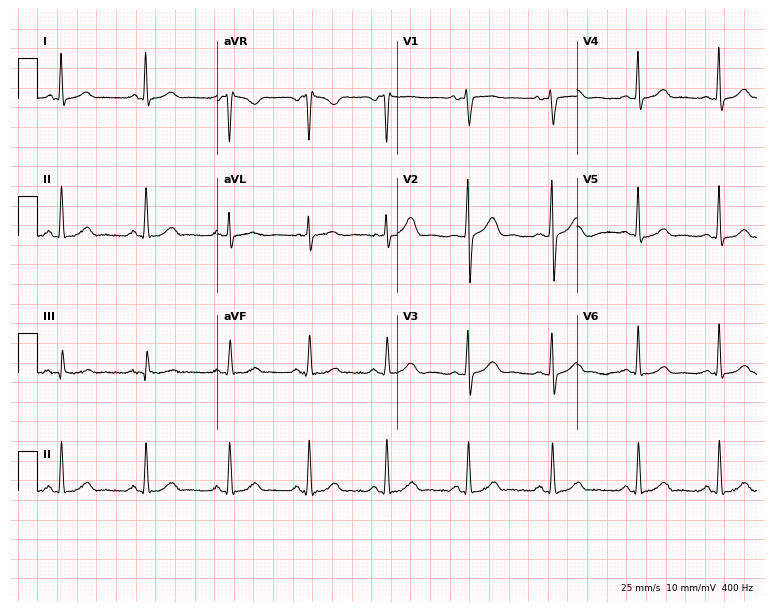
12-lead ECG (7.3-second recording at 400 Hz) from a female patient, 34 years old. Labelled as a normal ECG.